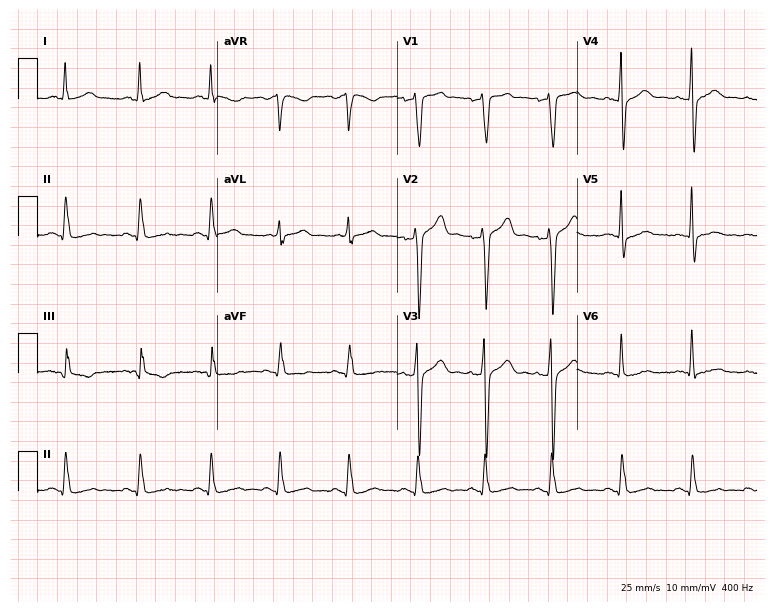
Electrocardiogram, a 29-year-old man. Of the six screened findings (first-degree AV block, right bundle branch block, left bundle branch block, sinus bradycardia, atrial fibrillation, sinus tachycardia), none is recorded.